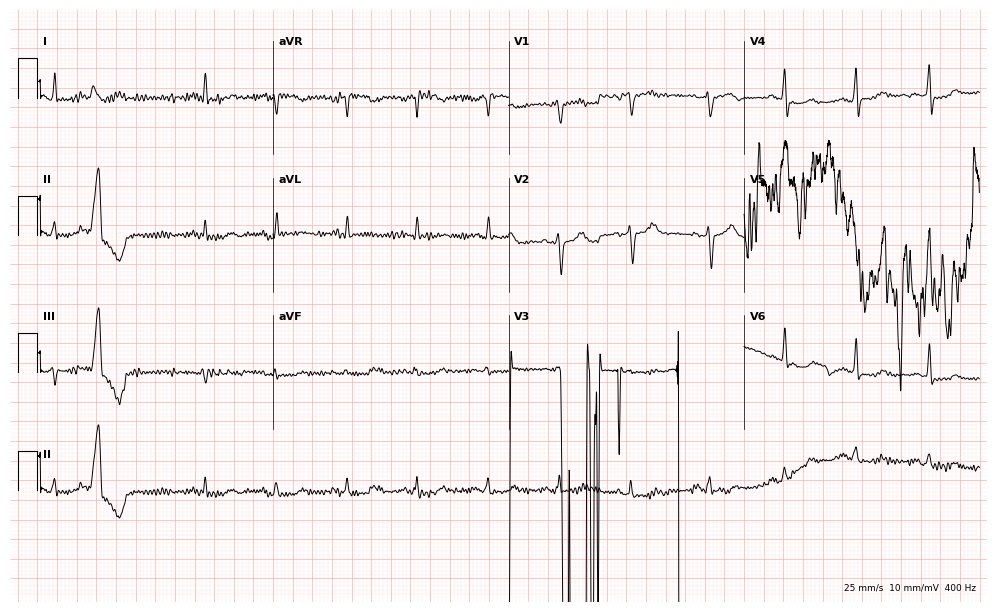
12-lead ECG from a female, 58 years old. Screened for six findings — first-degree AV block, right bundle branch block (RBBB), left bundle branch block (LBBB), sinus bradycardia, atrial fibrillation (AF), sinus tachycardia — none is recorded.